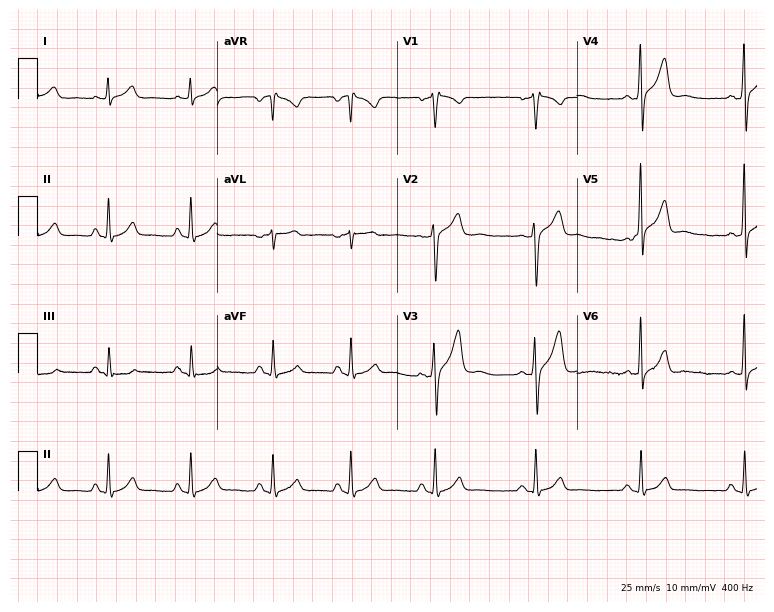
ECG — a male patient, 39 years old. Labelled as a normal ECG.